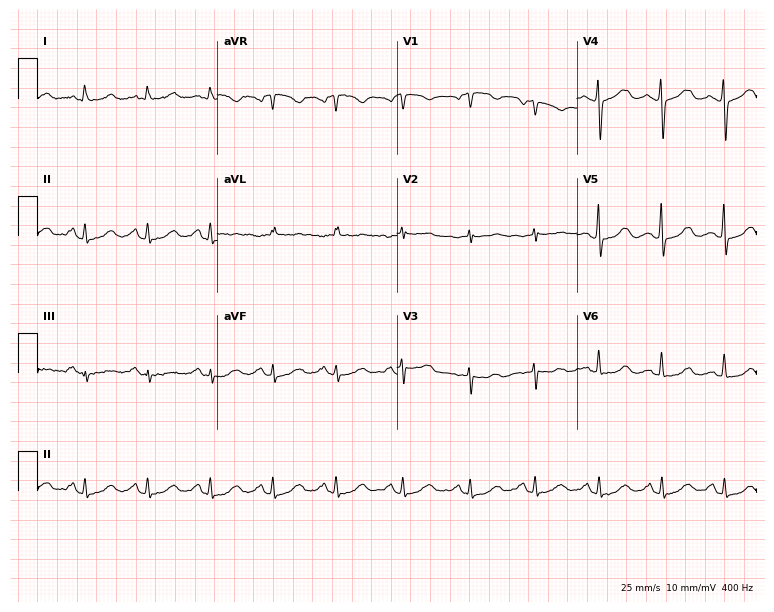
Standard 12-lead ECG recorded from a female patient, 65 years old. None of these six findings is recorded: first-degree AV block, right bundle branch block (RBBB), left bundle branch block (LBBB), sinus bradycardia, atrial fibrillation (AF), sinus tachycardia. Only these six findings were labelled.